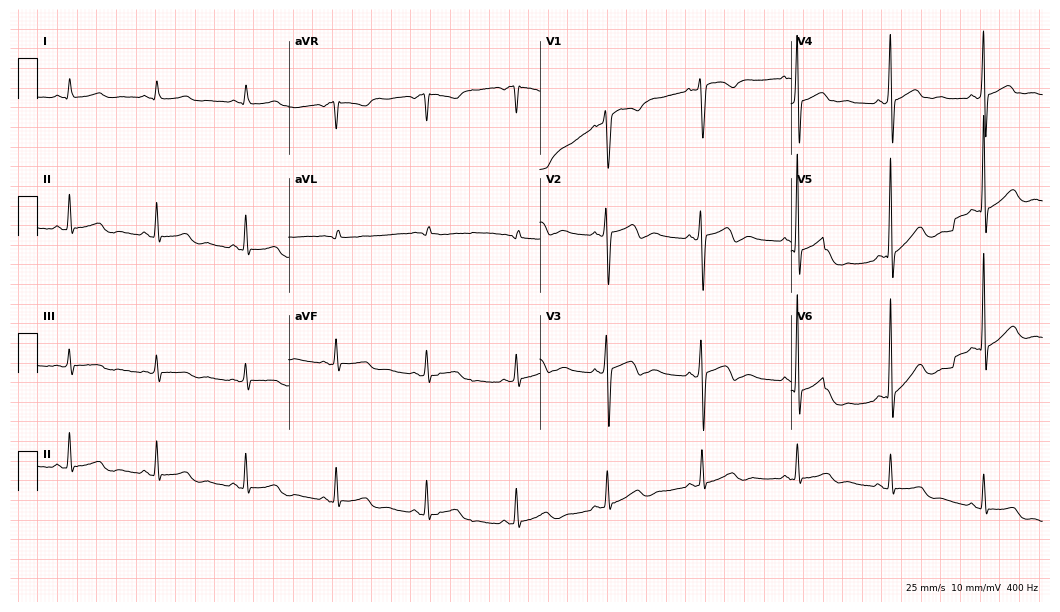
ECG — a 40-year-old male. Labelled as a normal ECG.